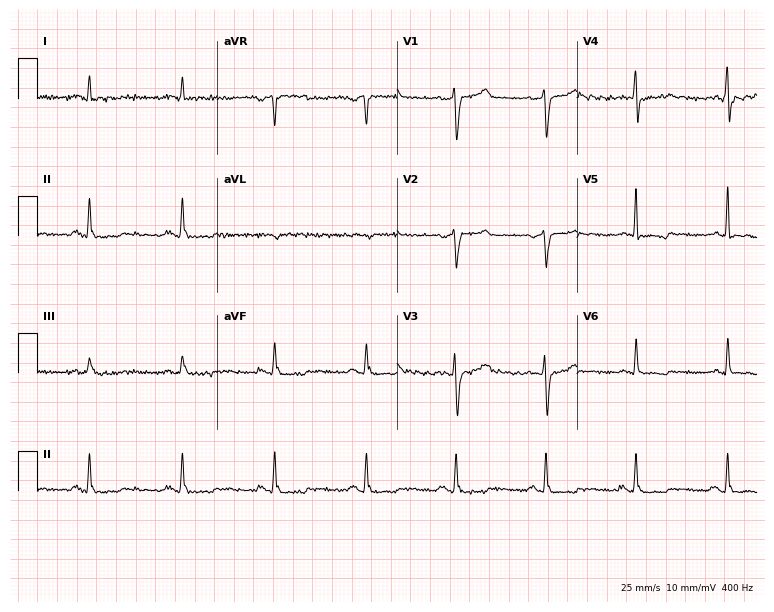
12-lead ECG from a 50-year-old male patient. No first-degree AV block, right bundle branch block, left bundle branch block, sinus bradycardia, atrial fibrillation or sinus tachycardia recorded for this tracing. Other findings, if any, are not listed.